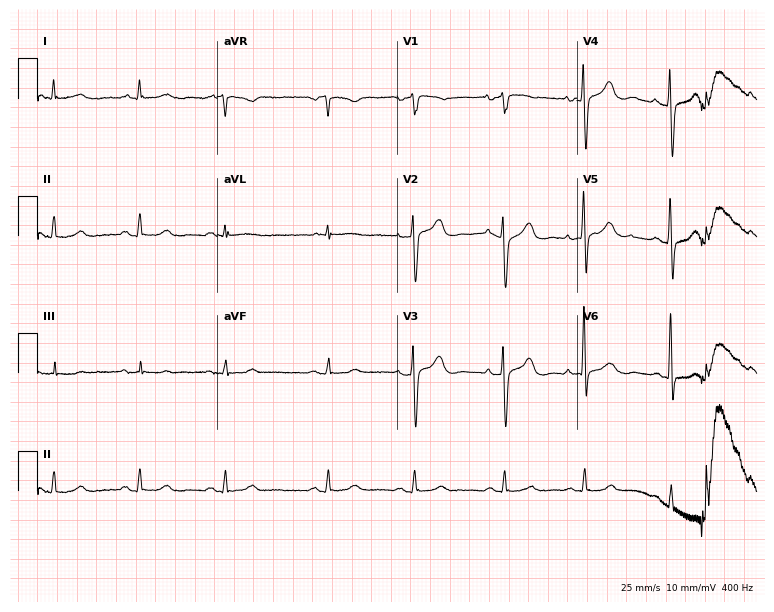
12-lead ECG from an 83-year-old male patient. Recorded interpretation: within normal limits.